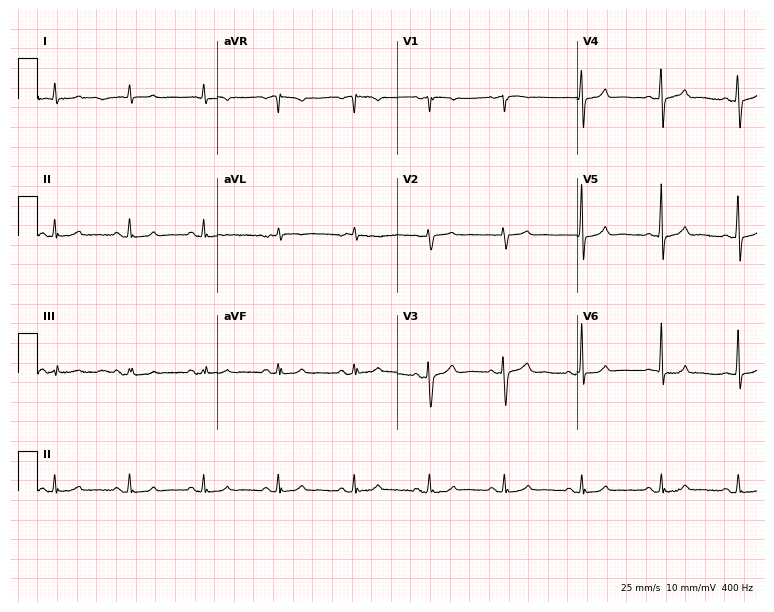
12-lead ECG from an 80-year-old female. No first-degree AV block, right bundle branch block (RBBB), left bundle branch block (LBBB), sinus bradycardia, atrial fibrillation (AF) or sinus tachycardia recorded for this tracing. Other findings, if any, are not listed.